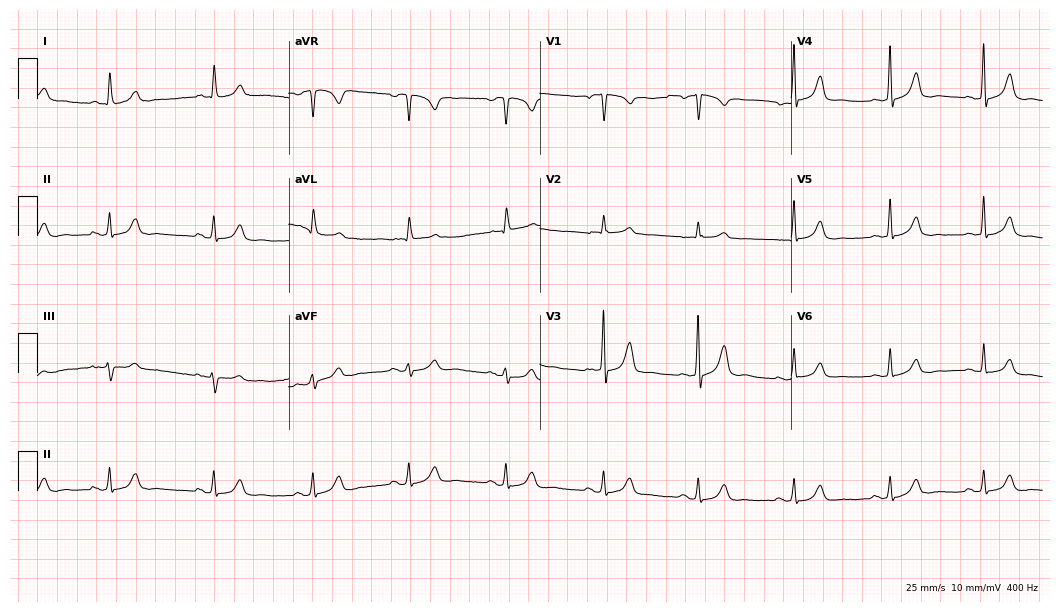
ECG (10.2-second recording at 400 Hz) — an 84-year-old male patient. Screened for six findings — first-degree AV block, right bundle branch block, left bundle branch block, sinus bradycardia, atrial fibrillation, sinus tachycardia — none is recorded.